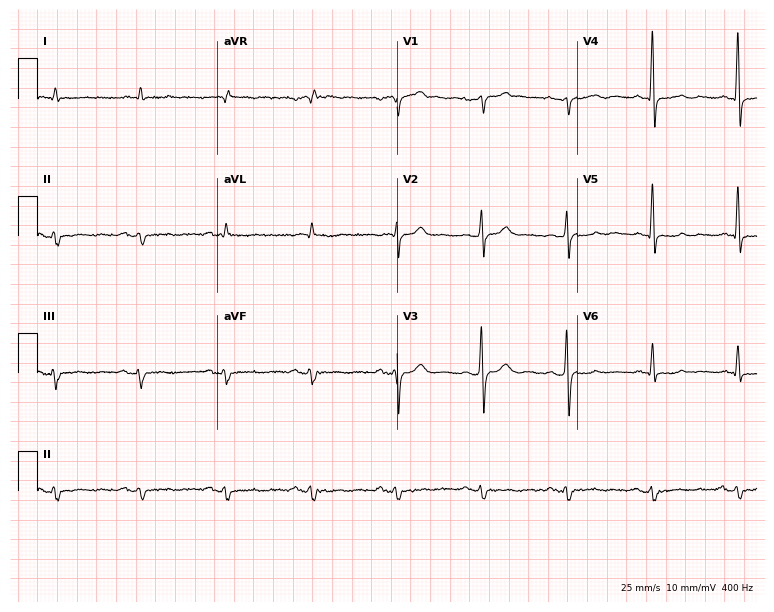
Electrocardiogram, an 84-year-old male. Of the six screened findings (first-degree AV block, right bundle branch block, left bundle branch block, sinus bradycardia, atrial fibrillation, sinus tachycardia), none is recorded.